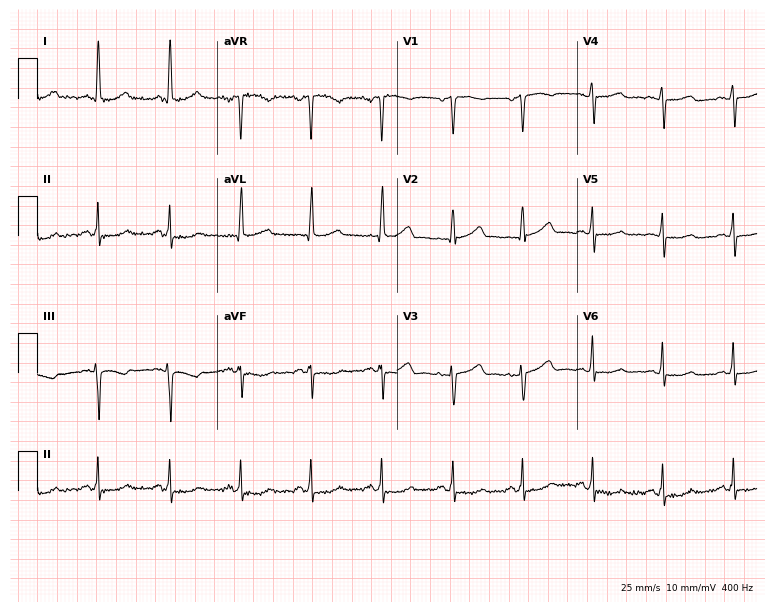
ECG — a 72-year-old female patient. Screened for six findings — first-degree AV block, right bundle branch block (RBBB), left bundle branch block (LBBB), sinus bradycardia, atrial fibrillation (AF), sinus tachycardia — none is recorded.